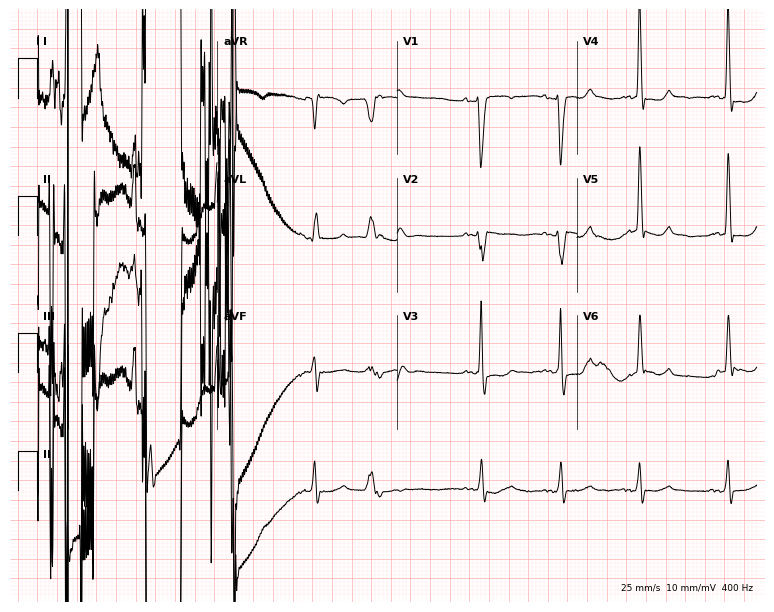
12-lead ECG from a 73-year-old female (7.3-second recording at 400 Hz). No first-degree AV block, right bundle branch block (RBBB), left bundle branch block (LBBB), sinus bradycardia, atrial fibrillation (AF) or sinus tachycardia recorded for this tracing. Findings outside these six are not listed.